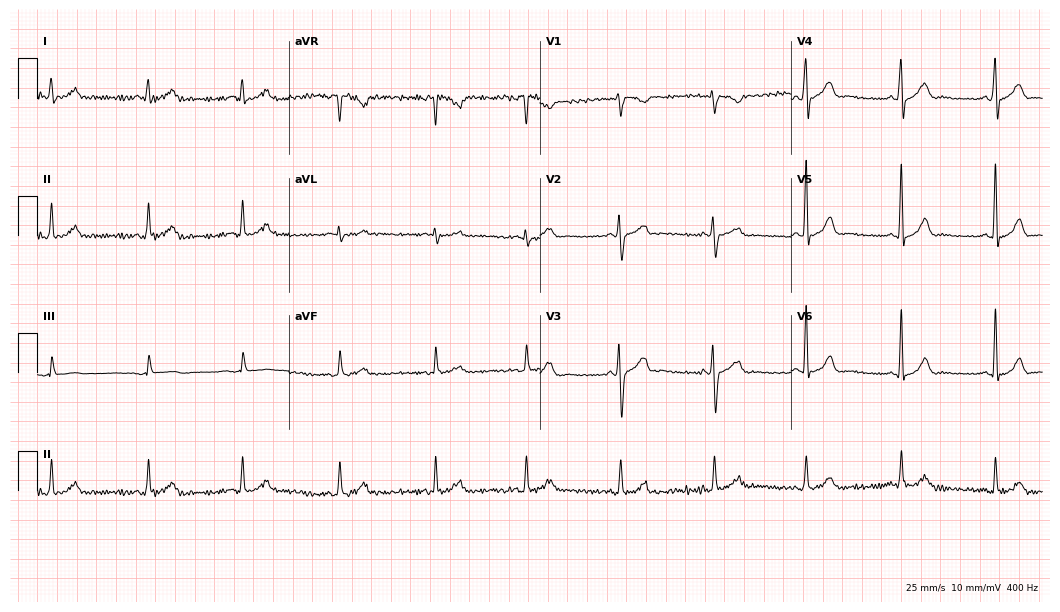
Resting 12-lead electrocardiogram (10.2-second recording at 400 Hz). Patient: a 38-year-old female. Read as a normal ECG.